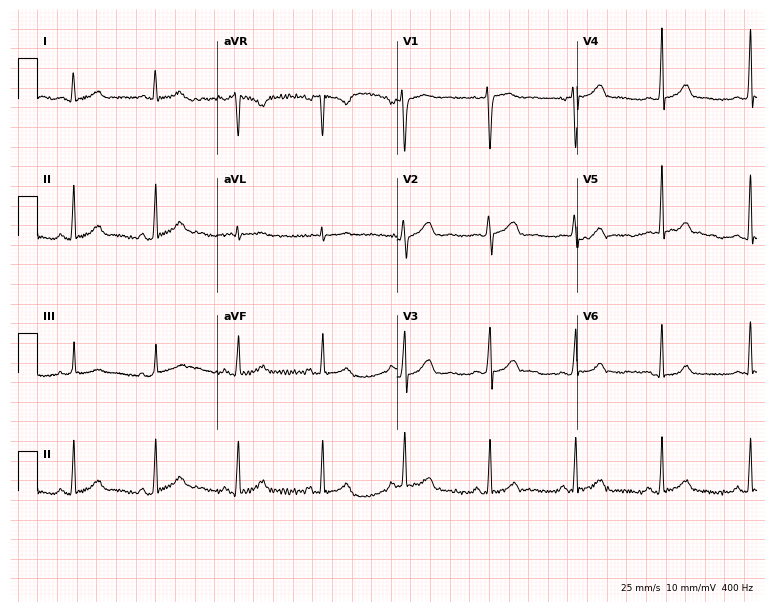
Resting 12-lead electrocardiogram. Patient: a female, 19 years old. Read as a normal ECG.